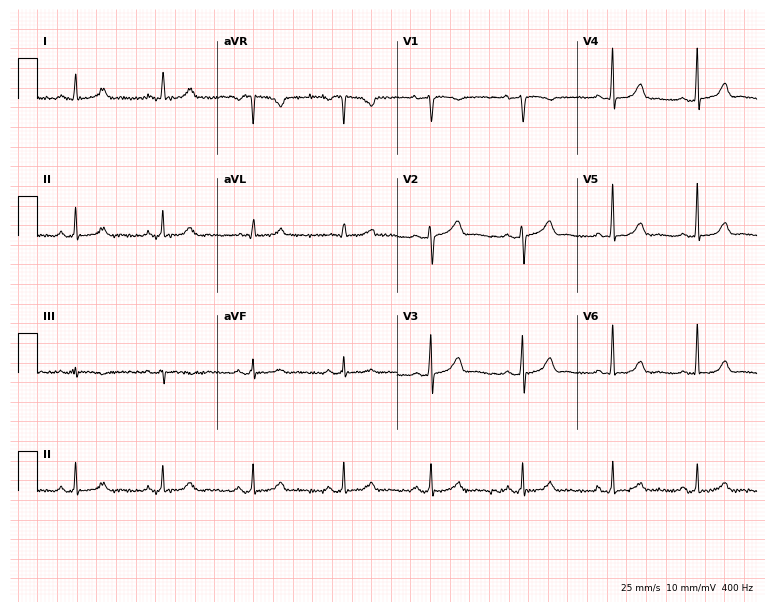
Electrocardiogram, a 21-year-old female patient. Of the six screened findings (first-degree AV block, right bundle branch block, left bundle branch block, sinus bradycardia, atrial fibrillation, sinus tachycardia), none is recorded.